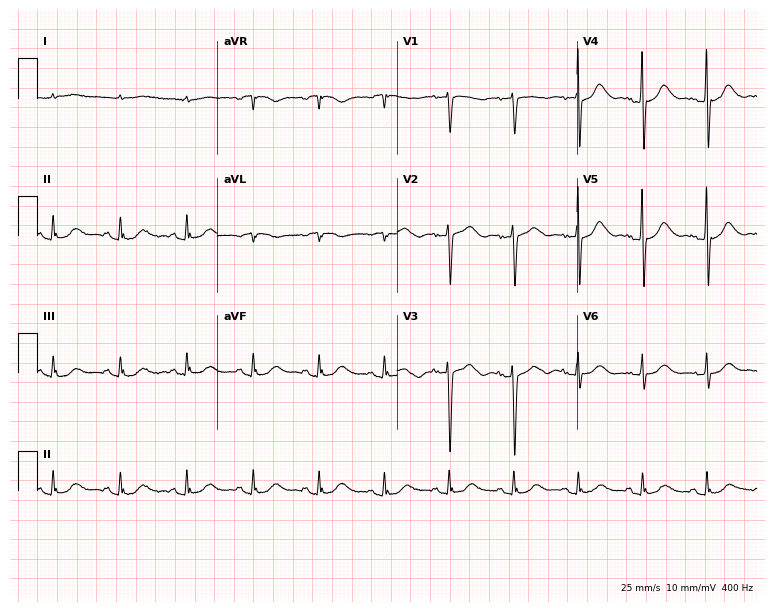
ECG (7.3-second recording at 400 Hz) — a male, 72 years old. Labelled as a normal ECG.